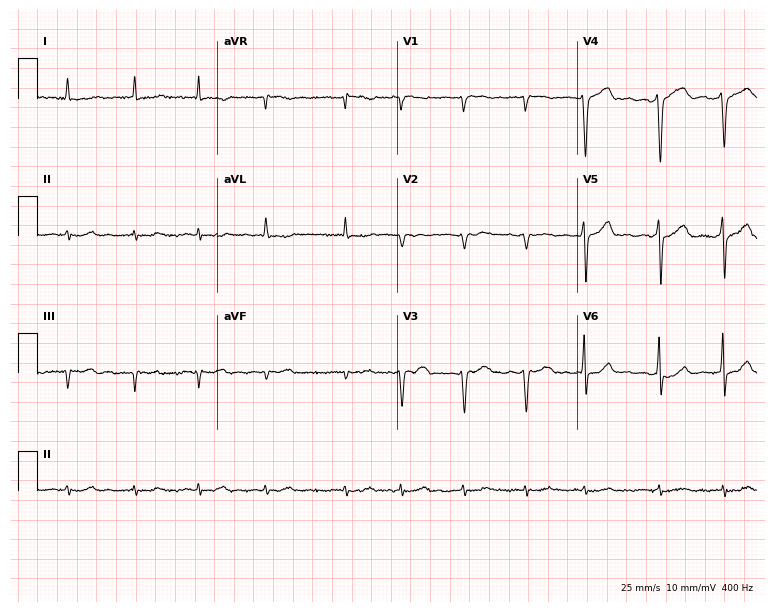
12-lead ECG (7.3-second recording at 400 Hz) from an 82-year-old male. Findings include atrial fibrillation (AF).